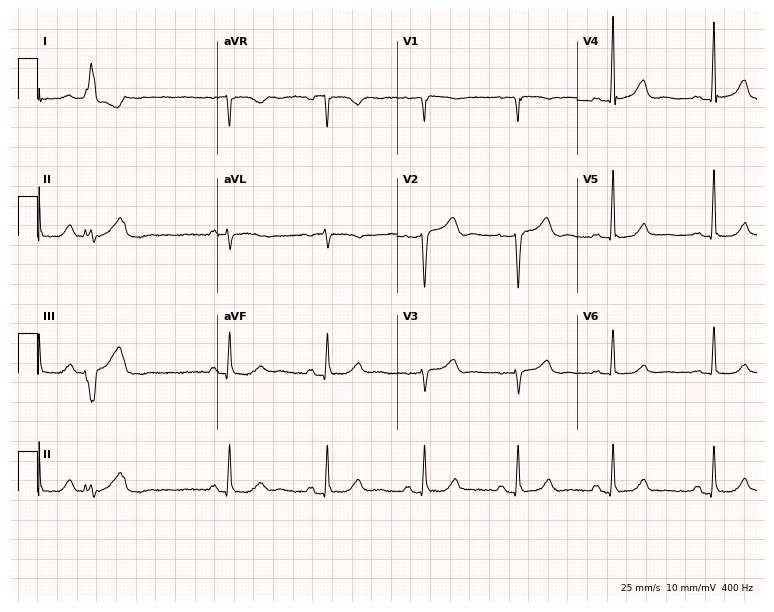
Resting 12-lead electrocardiogram (7.3-second recording at 400 Hz). Patient: a 50-year-old woman. Read as a normal ECG.